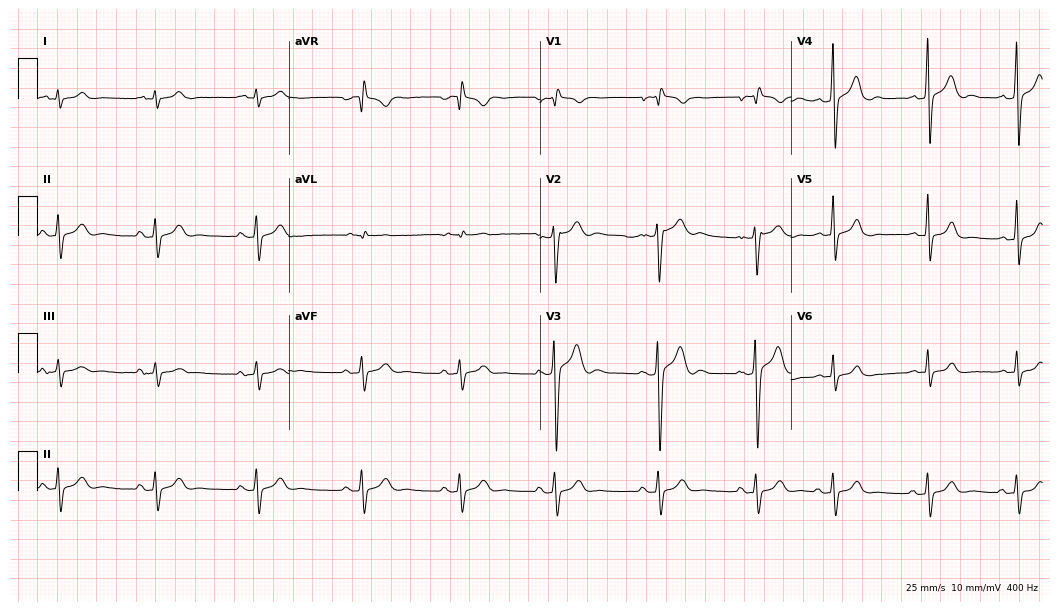
12-lead ECG from a 22-year-old male patient (10.2-second recording at 400 Hz). No first-degree AV block, right bundle branch block, left bundle branch block, sinus bradycardia, atrial fibrillation or sinus tachycardia recorded for this tracing. Findings outside these six are not listed.